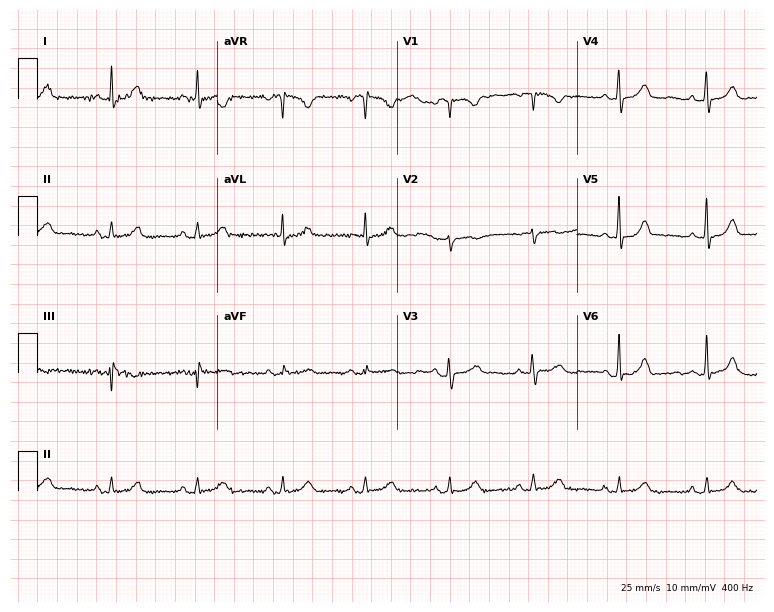
Electrocardiogram, a 45-year-old female. Overall reading on record: normal ECG.